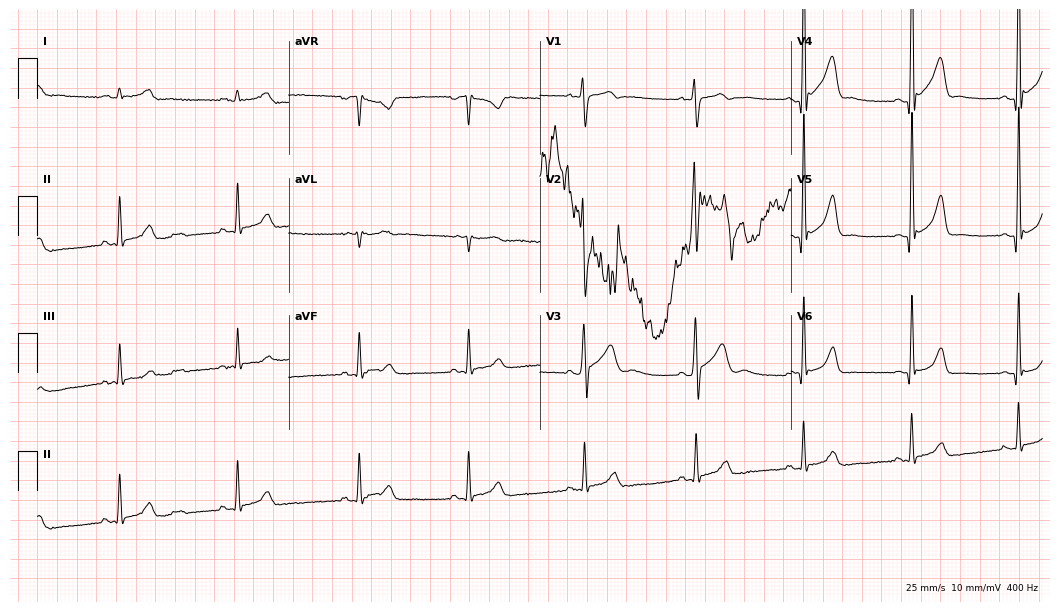
Electrocardiogram (10.2-second recording at 400 Hz), a male, 18 years old. Of the six screened findings (first-degree AV block, right bundle branch block, left bundle branch block, sinus bradycardia, atrial fibrillation, sinus tachycardia), none is recorded. Other findings, if any, are not listed.